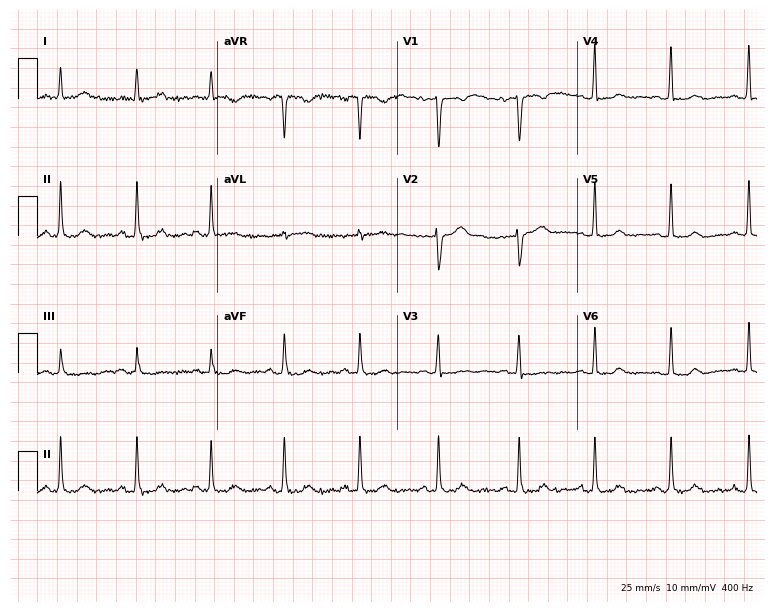
12-lead ECG from a female patient, 36 years old. Screened for six findings — first-degree AV block, right bundle branch block, left bundle branch block, sinus bradycardia, atrial fibrillation, sinus tachycardia — none is recorded.